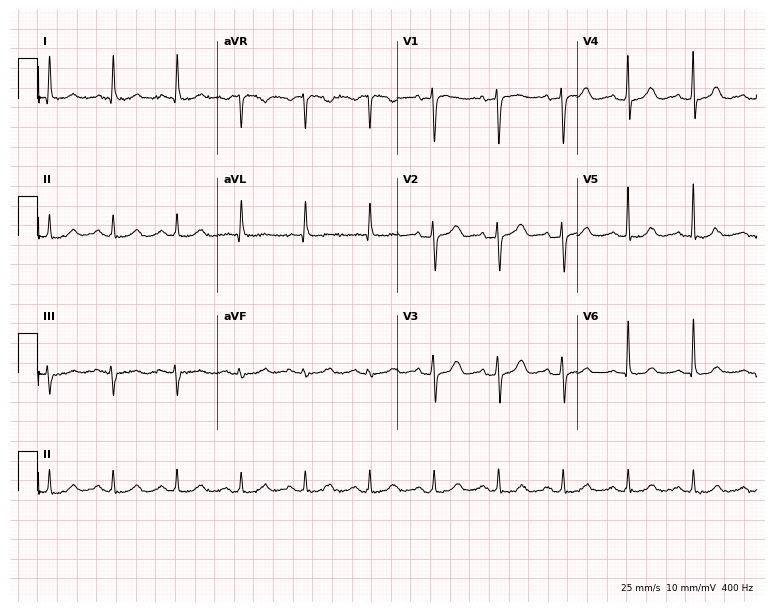
Standard 12-lead ECG recorded from a woman, 74 years old (7.3-second recording at 400 Hz). None of these six findings is recorded: first-degree AV block, right bundle branch block, left bundle branch block, sinus bradycardia, atrial fibrillation, sinus tachycardia.